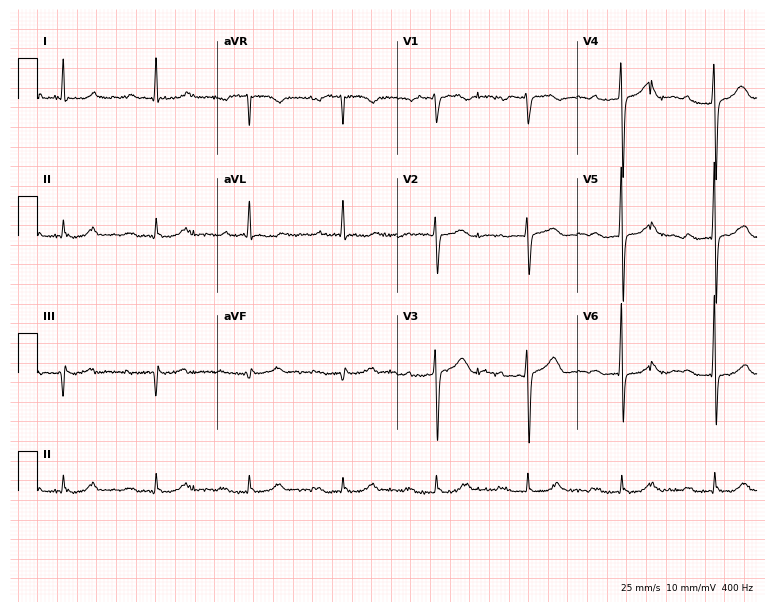
12-lead ECG (7.3-second recording at 400 Hz) from a man, 76 years old. Findings include first-degree AV block.